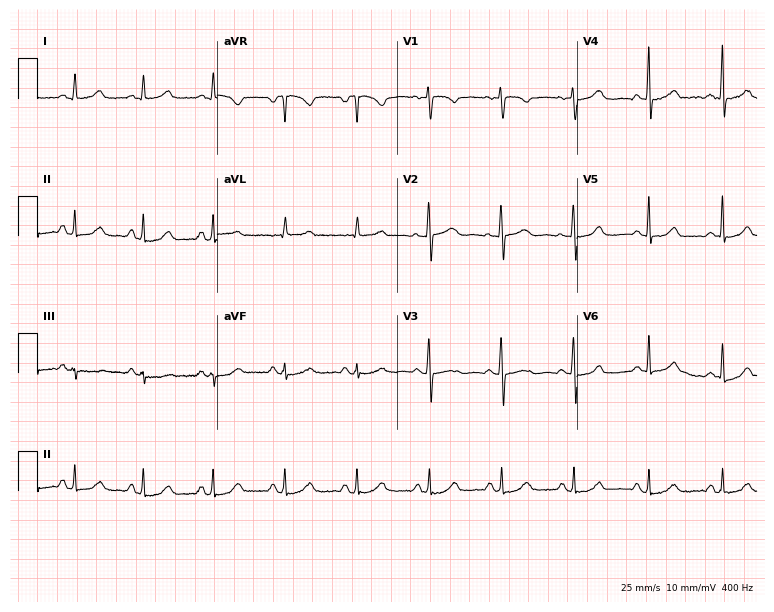
Standard 12-lead ECG recorded from a 41-year-old woman (7.3-second recording at 400 Hz). Read as a normal ECG.